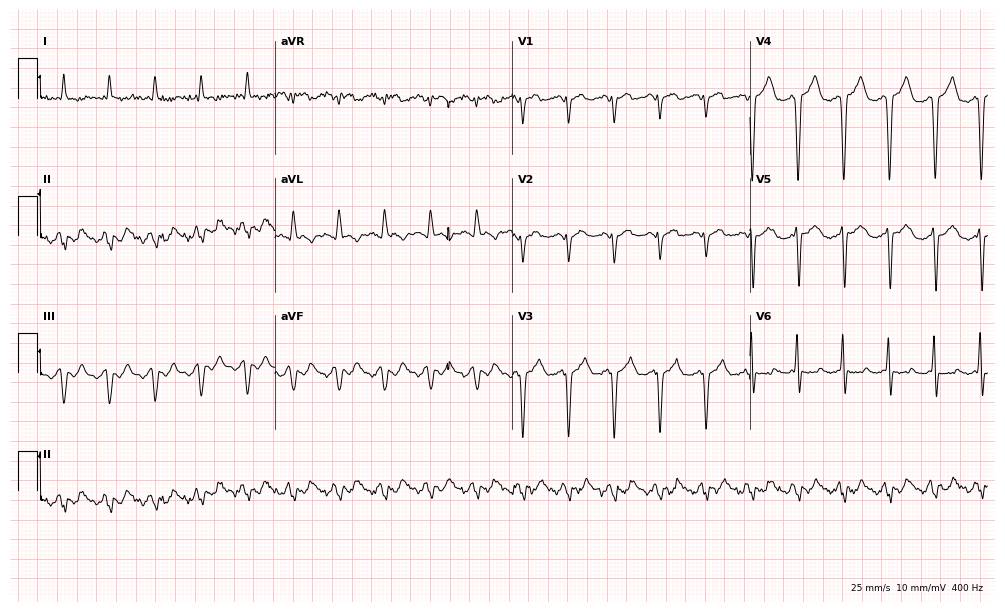
Standard 12-lead ECG recorded from a male, 78 years old. None of these six findings is recorded: first-degree AV block, right bundle branch block, left bundle branch block, sinus bradycardia, atrial fibrillation, sinus tachycardia. Other findings, if any, are not listed.